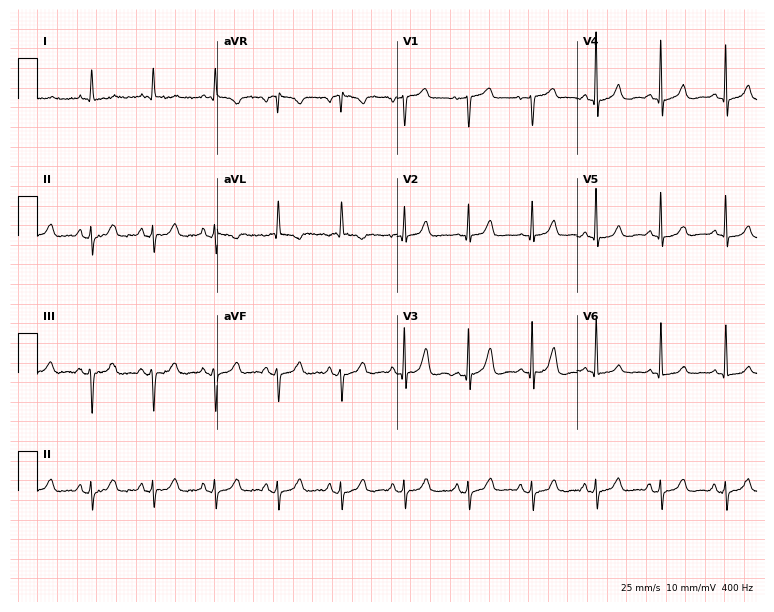
ECG — an 84-year-old woman. Screened for six findings — first-degree AV block, right bundle branch block, left bundle branch block, sinus bradycardia, atrial fibrillation, sinus tachycardia — none is recorded. Only these six findings were labelled.